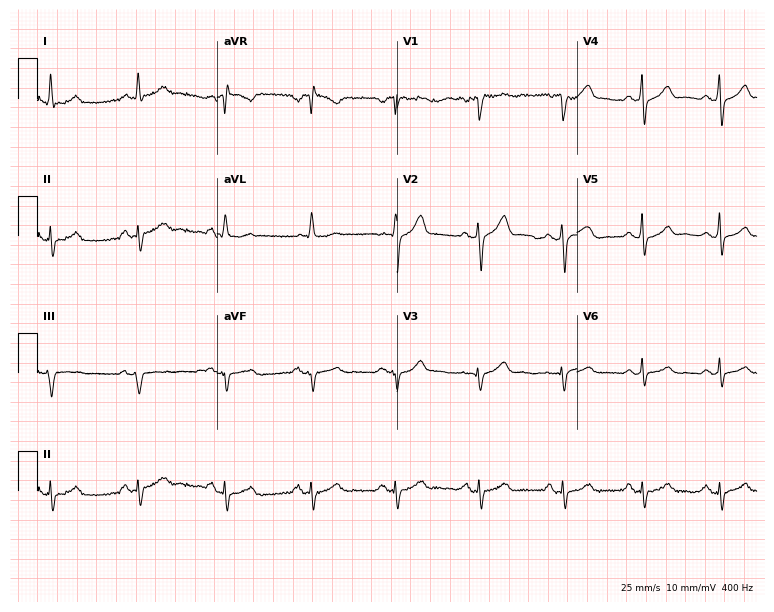
12-lead ECG from a male, 53 years old (7.3-second recording at 400 Hz). Recorded interpretation: within normal limits.